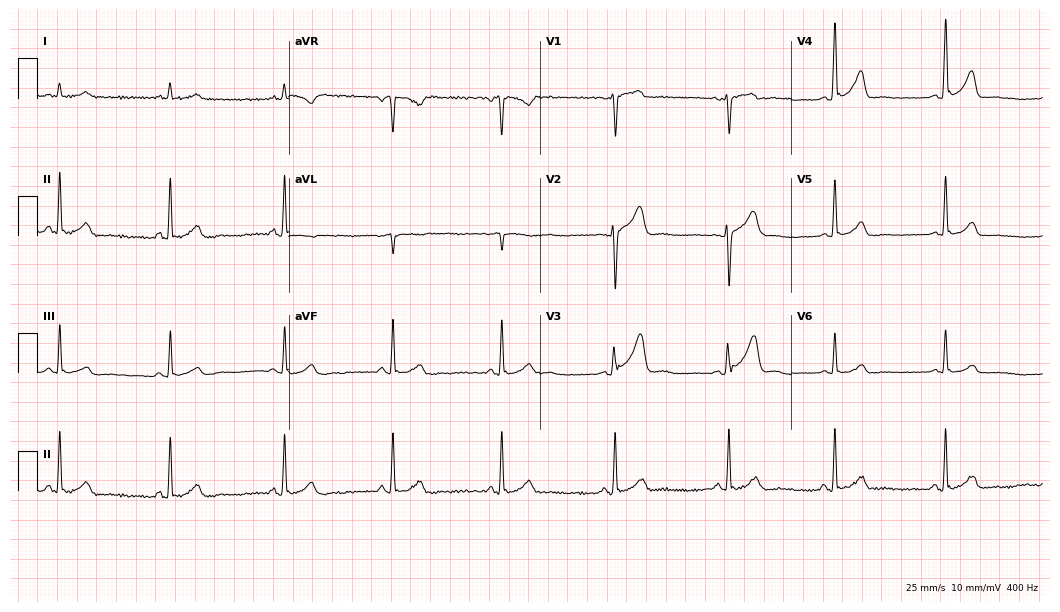
12-lead ECG from a 26-year-old male patient. Labelled as a normal ECG.